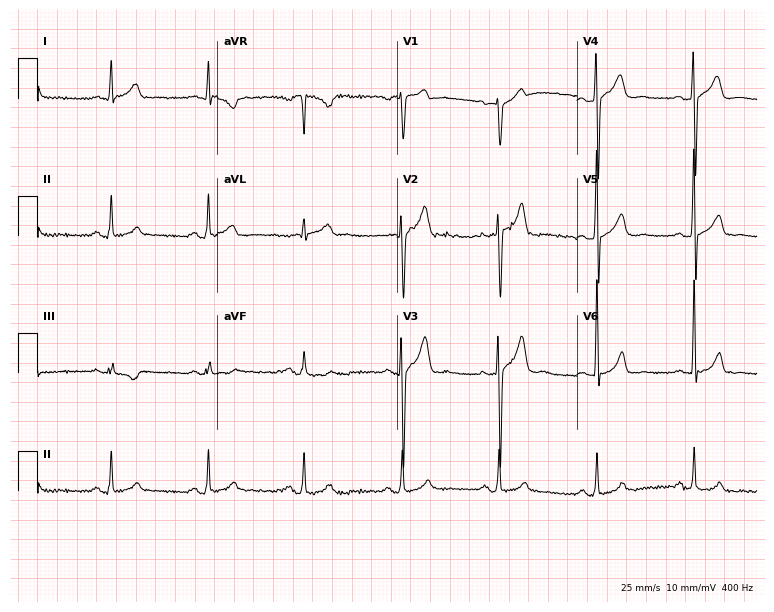
Electrocardiogram (7.3-second recording at 400 Hz), a 29-year-old man. Of the six screened findings (first-degree AV block, right bundle branch block, left bundle branch block, sinus bradycardia, atrial fibrillation, sinus tachycardia), none is recorded. Other findings, if any, are not listed.